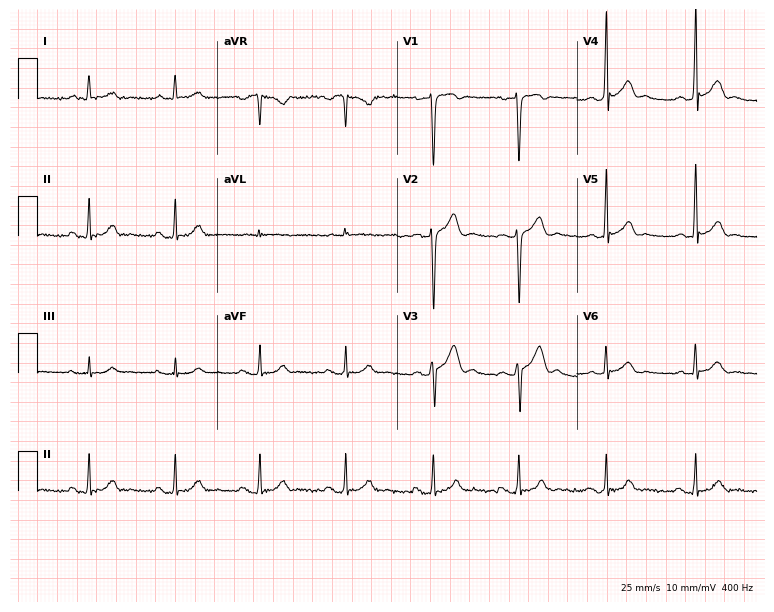
Resting 12-lead electrocardiogram. Patient: a male, 24 years old. None of these six findings is recorded: first-degree AV block, right bundle branch block, left bundle branch block, sinus bradycardia, atrial fibrillation, sinus tachycardia.